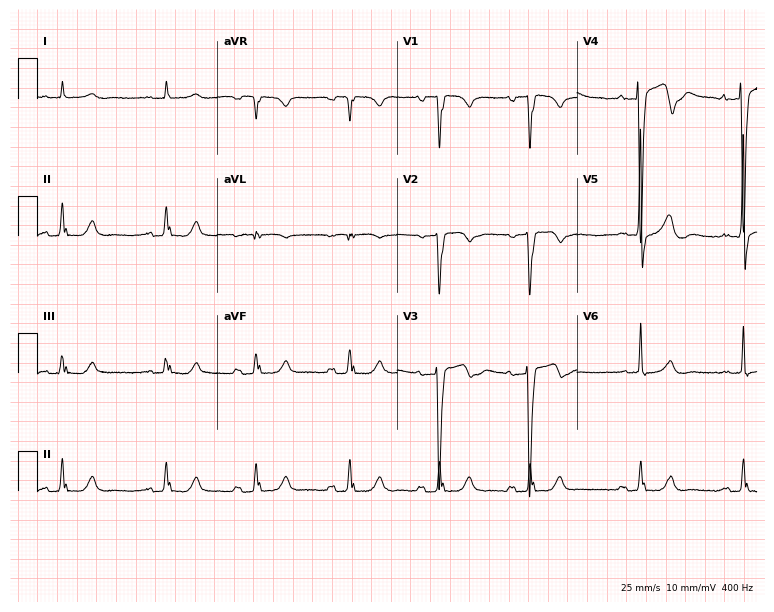
Standard 12-lead ECG recorded from a 73-year-old male (7.3-second recording at 400 Hz). Read as a normal ECG.